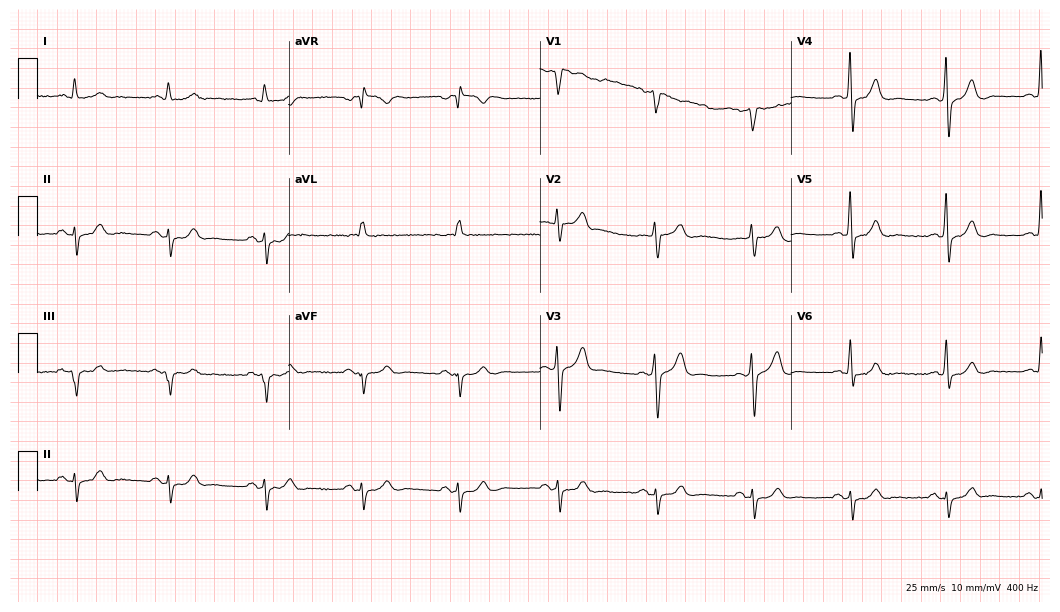
ECG — a man, 69 years old. Screened for six findings — first-degree AV block, right bundle branch block (RBBB), left bundle branch block (LBBB), sinus bradycardia, atrial fibrillation (AF), sinus tachycardia — none is recorded.